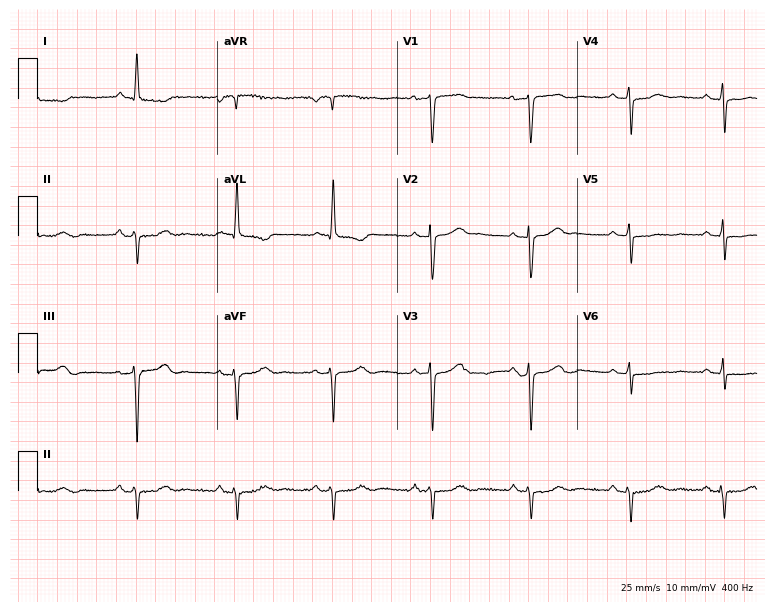
ECG (7.3-second recording at 400 Hz) — a 62-year-old female patient. Screened for six findings — first-degree AV block, right bundle branch block (RBBB), left bundle branch block (LBBB), sinus bradycardia, atrial fibrillation (AF), sinus tachycardia — none is recorded.